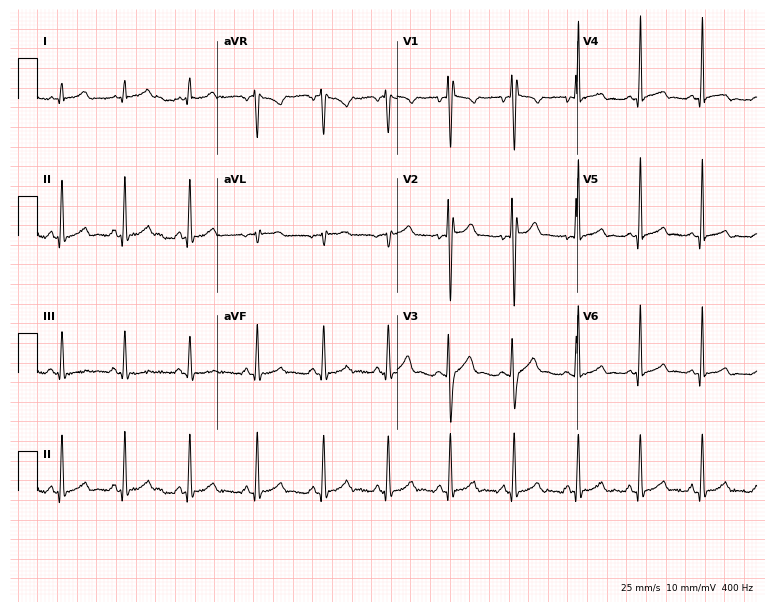
Electrocardiogram, a 17-year-old man. Of the six screened findings (first-degree AV block, right bundle branch block, left bundle branch block, sinus bradycardia, atrial fibrillation, sinus tachycardia), none is recorded.